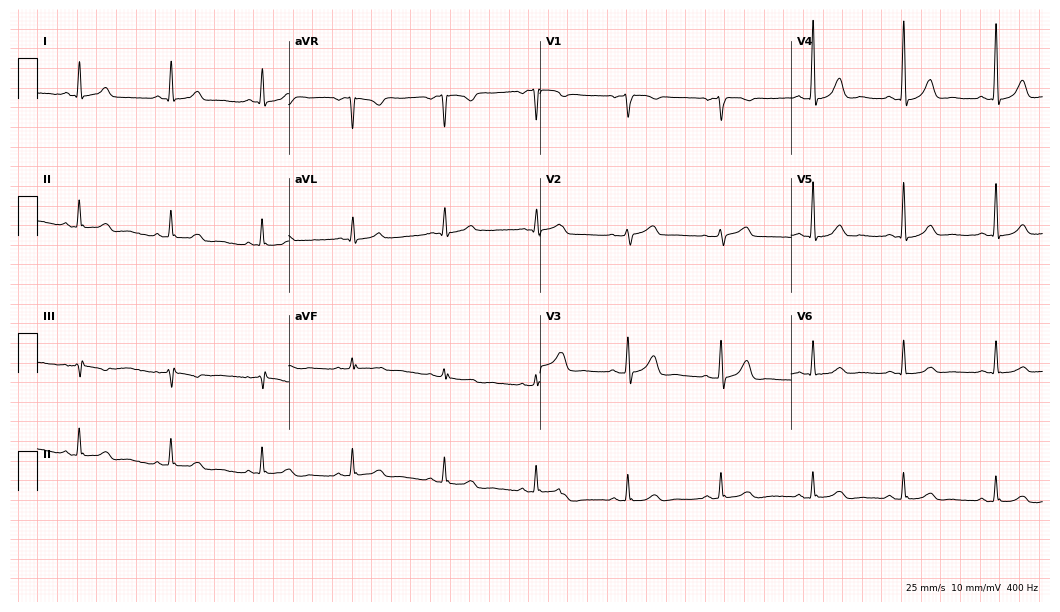
Electrocardiogram (10.2-second recording at 400 Hz), a 55-year-old female. Overall reading on record: normal ECG.